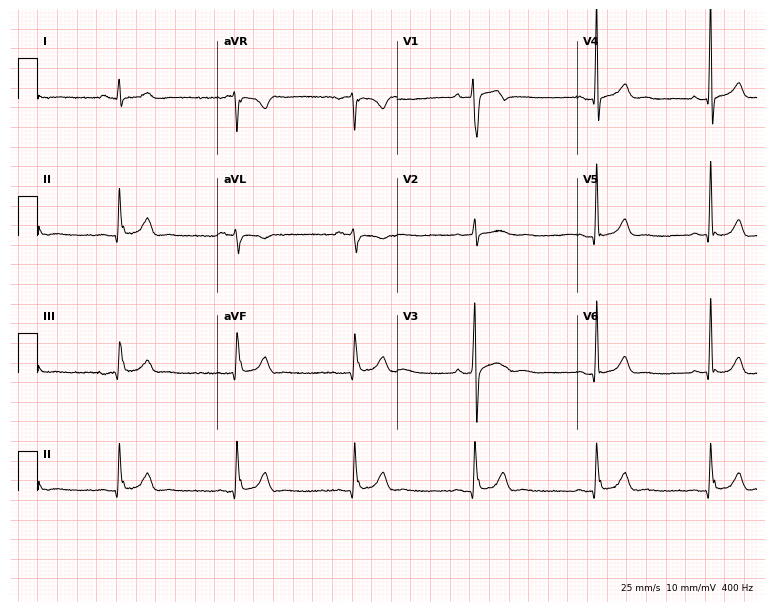
Resting 12-lead electrocardiogram (7.3-second recording at 400 Hz). Patient: a man, 28 years old. Read as a normal ECG.